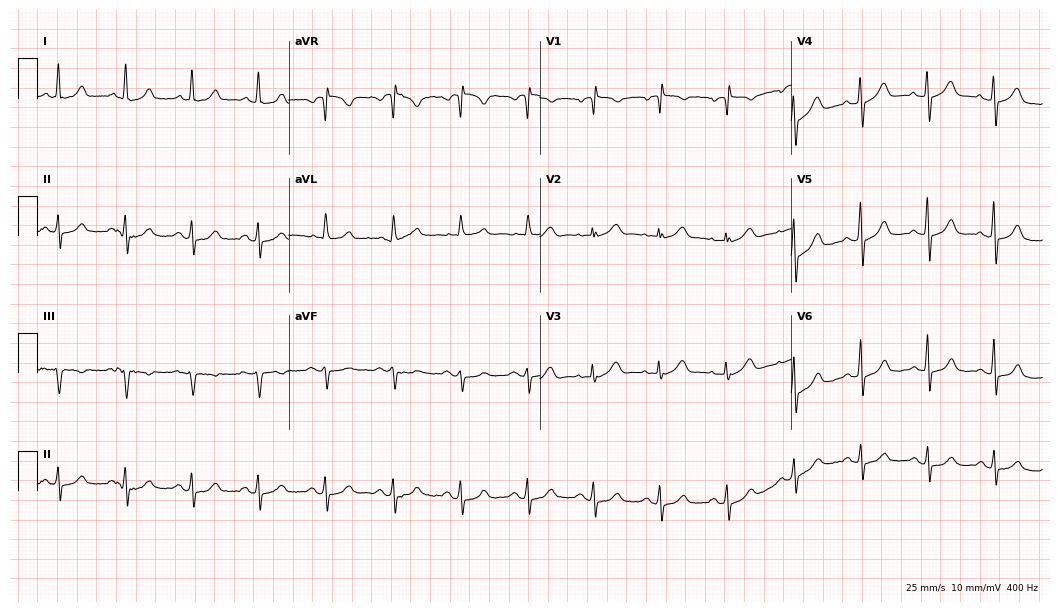
ECG (10.2-second recording at 400 Hz) — a female, 62 years old. Labelled as a normal ECG.